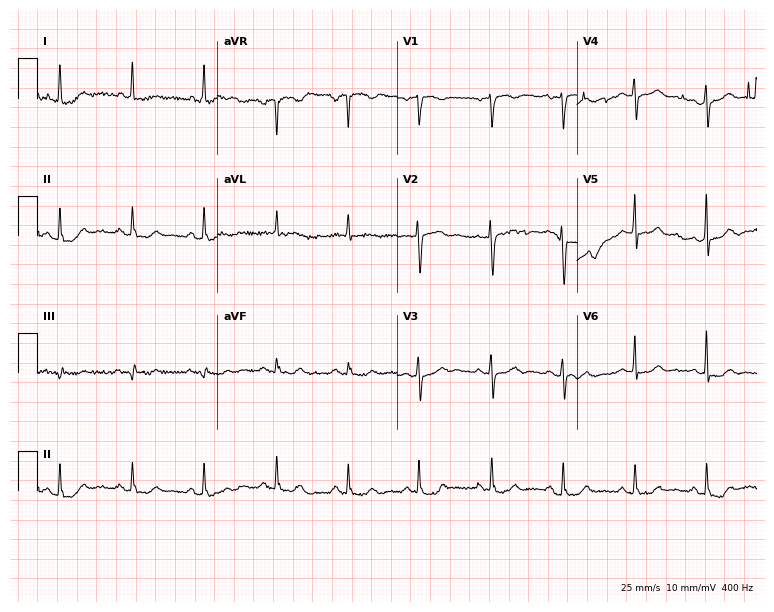
Electrocardiogram, a 76-year-old female. Overall reading on record: normal ECG.